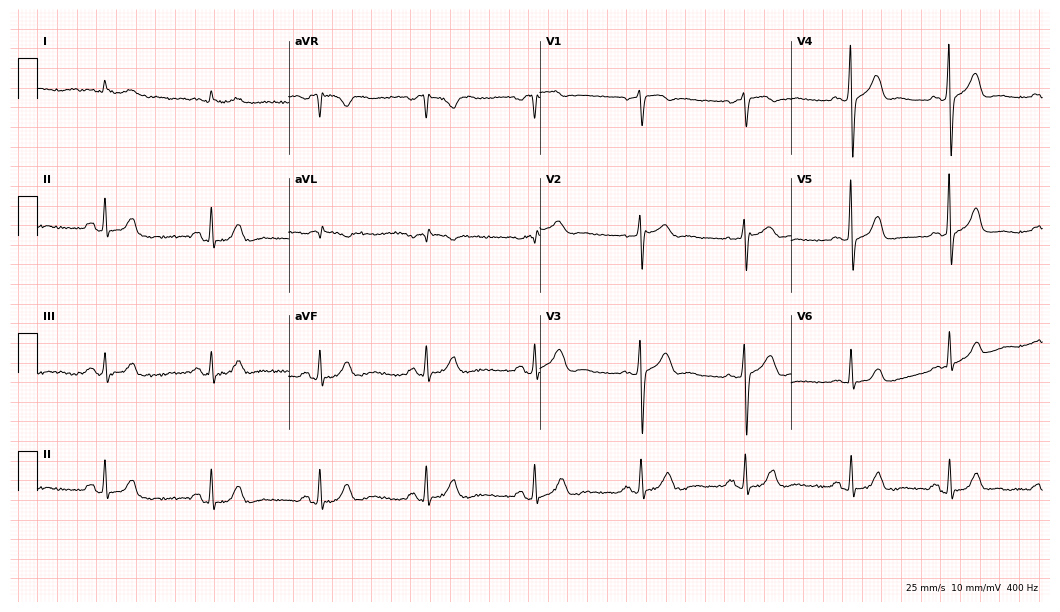
Standard 12-lead ECG recorded from a male patient, 79 years old. Read as a normal ECG.